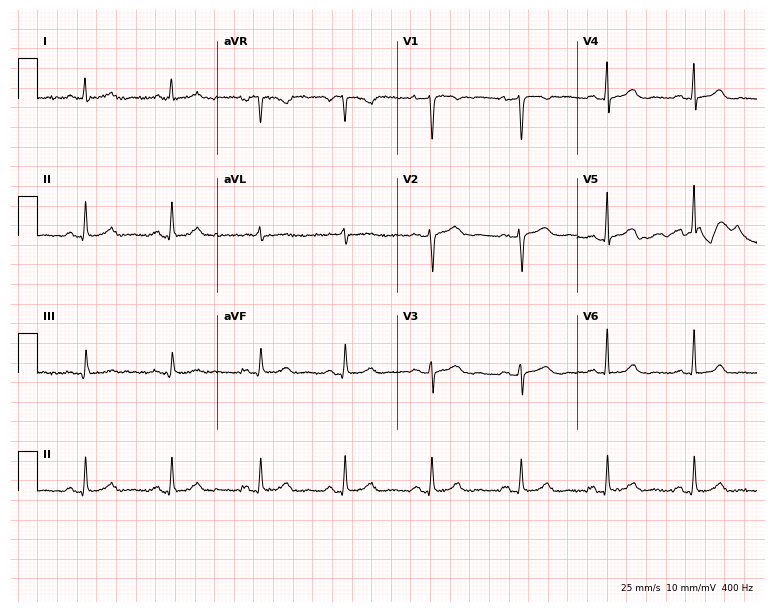
12-lead ECG (7.3-second recording at 400 Hz) from a 47-year-old woman. Labelled as a normal ECG.